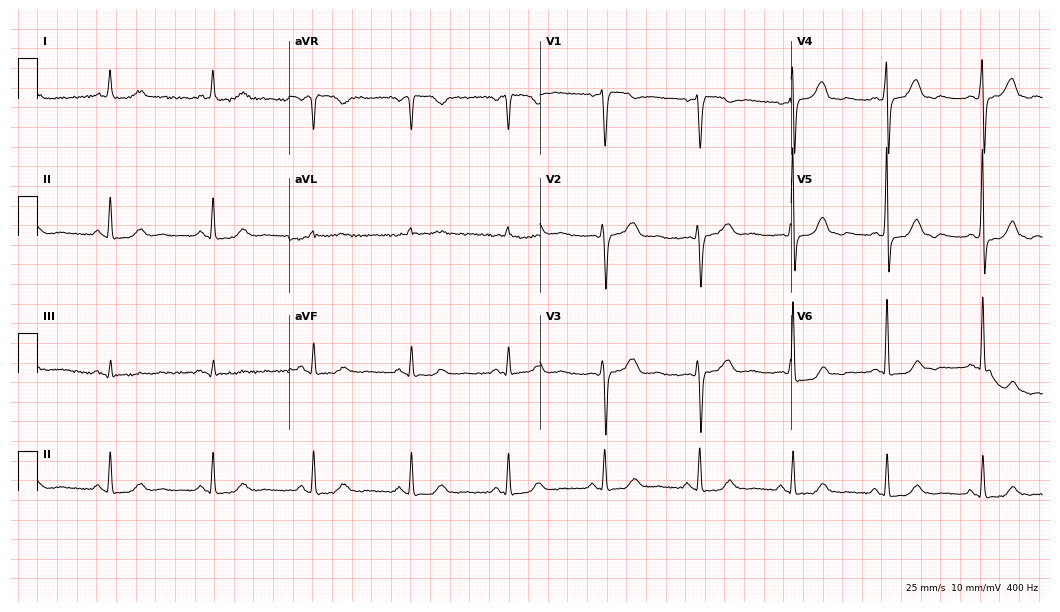
Standard 12-lead ECG recorded from a female, 65 years old. Read as a normal ECG.